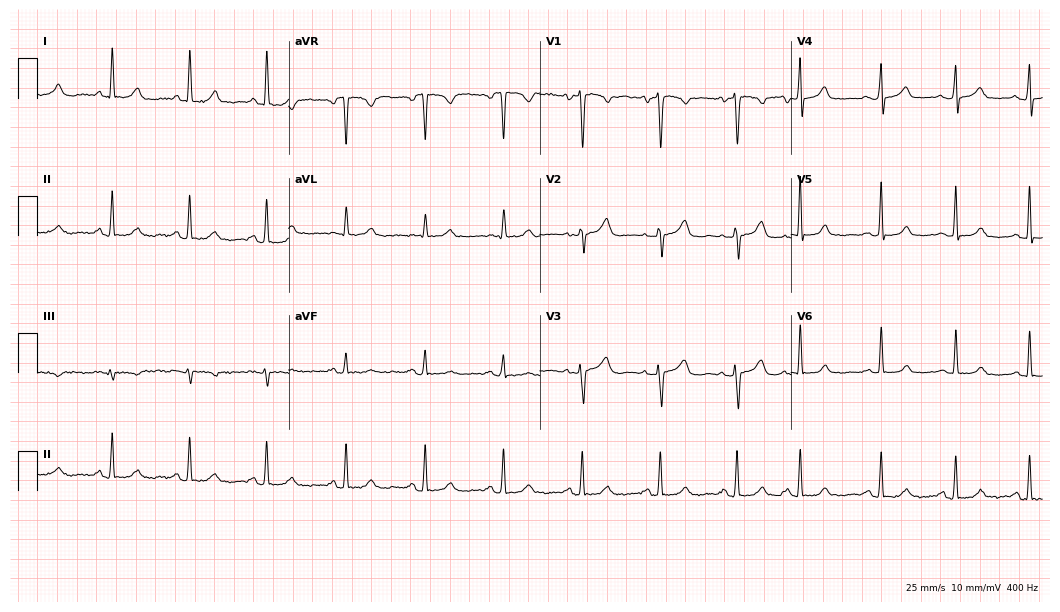
12-lead ECG from a woman, 64 years old (10.2-second recording at 400 Hz). Recorded interpretation: within normal limits.